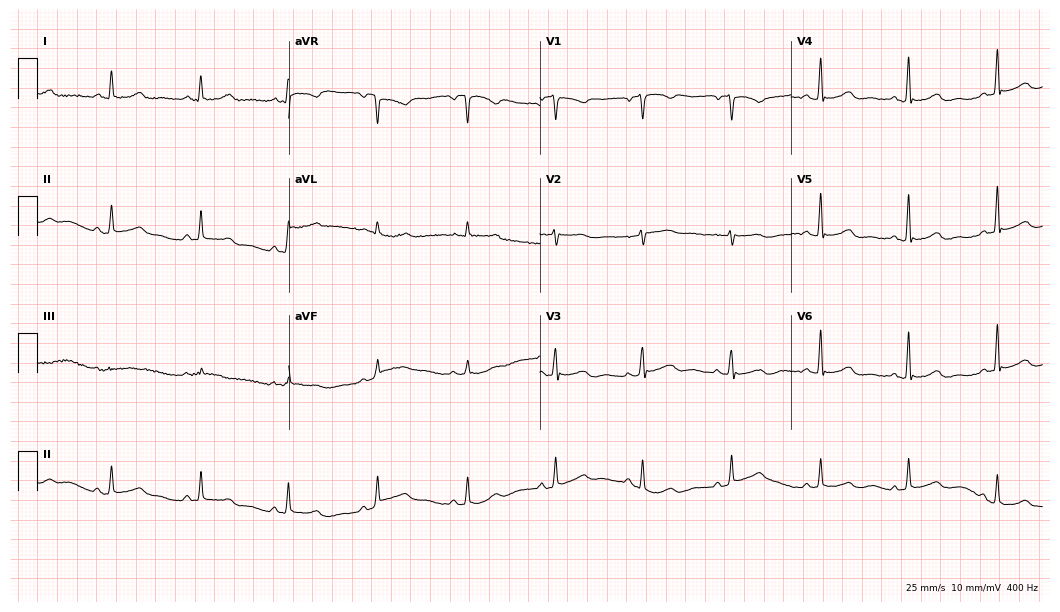
12-lead ECG (10.2-second recording at 400 Hz) from a 63-year-old female patient. Labelled as a normal ECG.